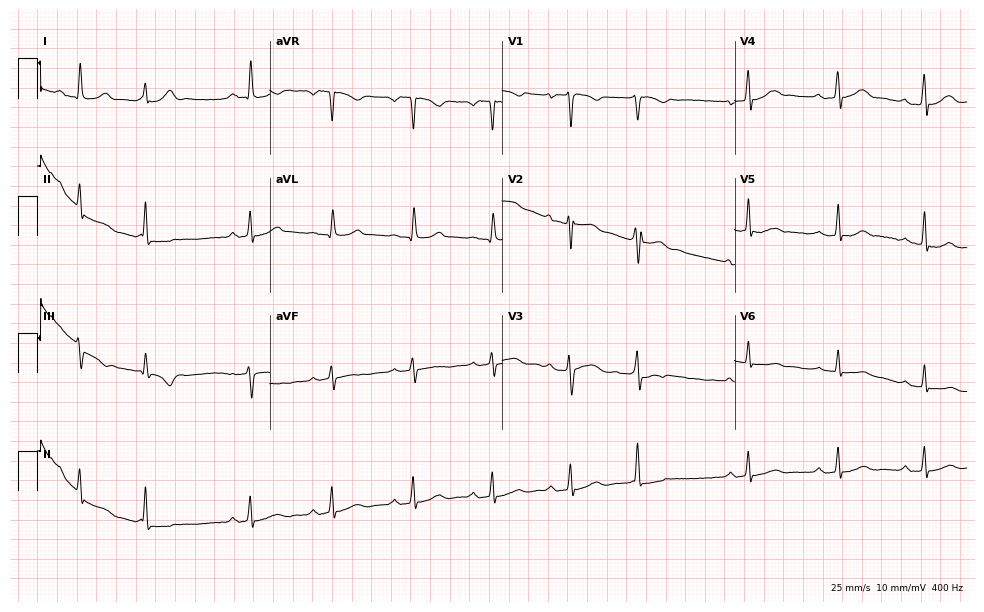
Standard 12-lead ECG recorded from a 35-year-old woman (9.5-second recording at 400 Hz). The tracing shows first-degree AV block.